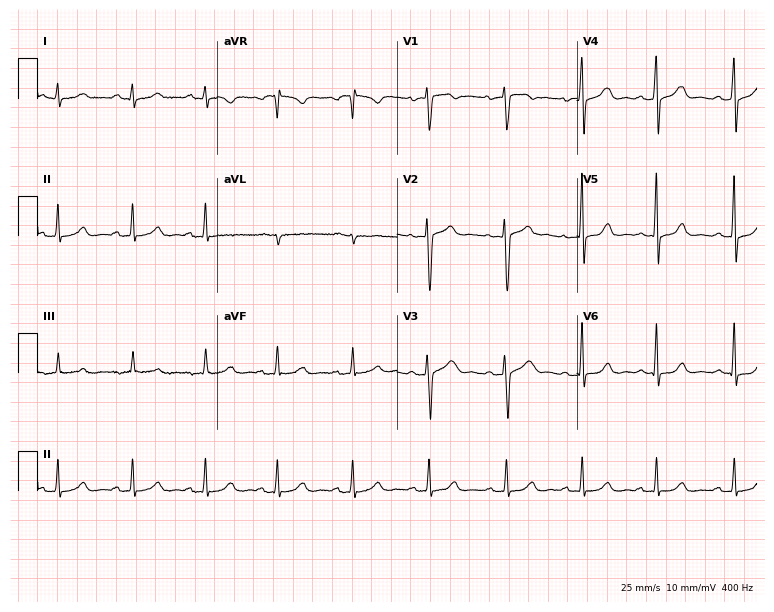
Electrocardiogram, a 45-year-old female patient. Overall reading on record: normal ECG.